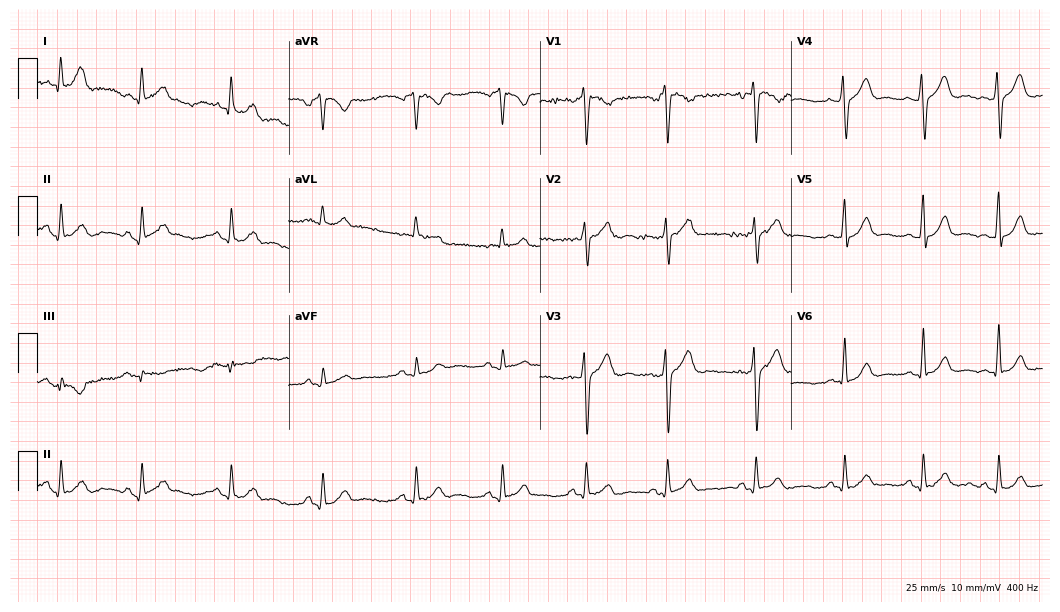
12-lead ECG from a man, 30 years old. Labelled as a normal ECG.